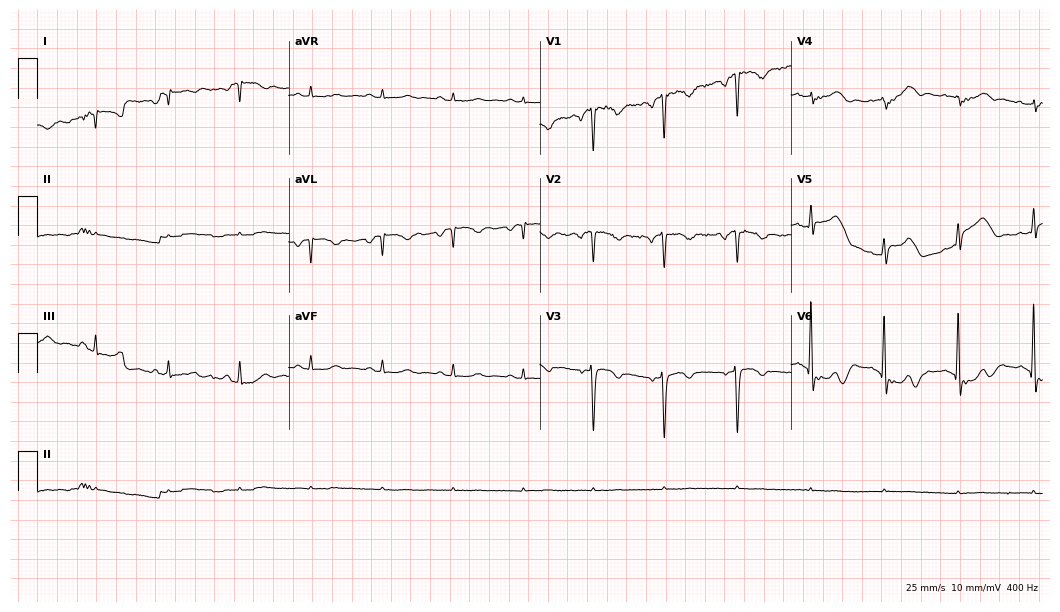
12-lead ECG from a woman, 73 years old (10.2-second recording at 400 Hz). No first-degree AV block, right bundle branch block, left bundle branch block, sinus bradycardia, atrial fibrillation or sinus tachycardia recorded for this tracing.